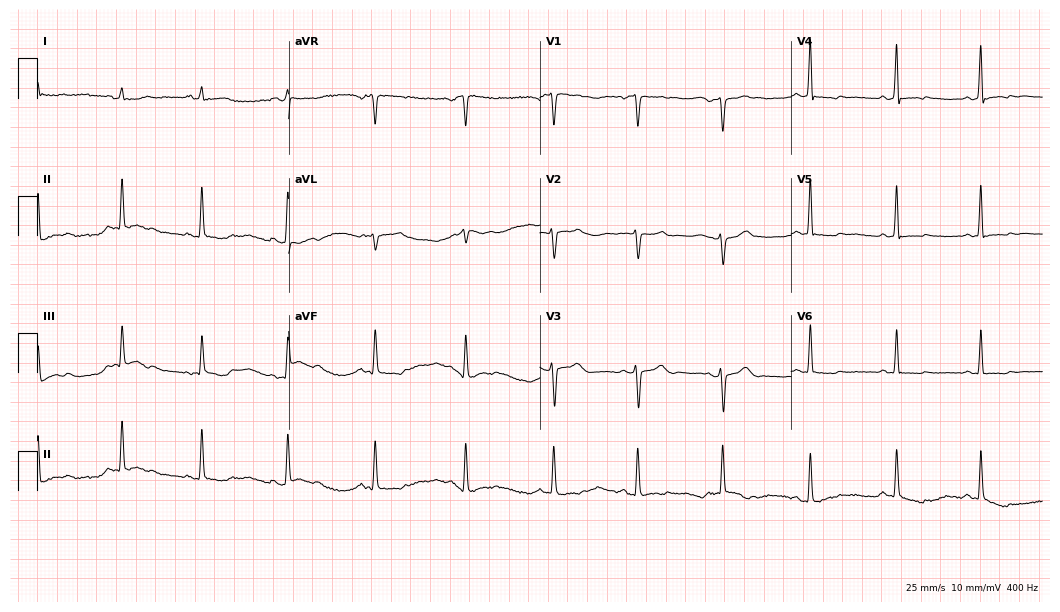
12-lead ECG from a female, 32 years old. Screened for six findings — first-degree AV block, right bundle branch block, left bundle branch block, sinus bradycardia, atrial fibrillation, sinus tachycardia — none is recorded.